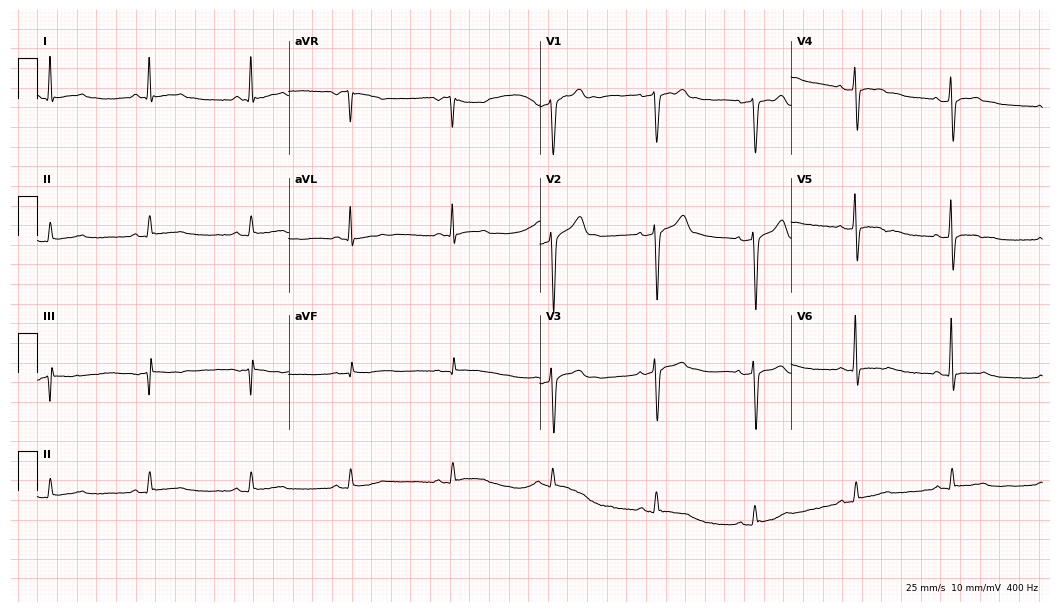
Standard 12-lead ECG recorded from a man, 45 years old. None of these six findings is recorded: first-degree AV block, right bundle branch block (RBBB), left bundle branch block (LBBB), sinus bradycardia, atrial fibrillation (AF), sinus tachycardia. Findings outside these six are not listed.